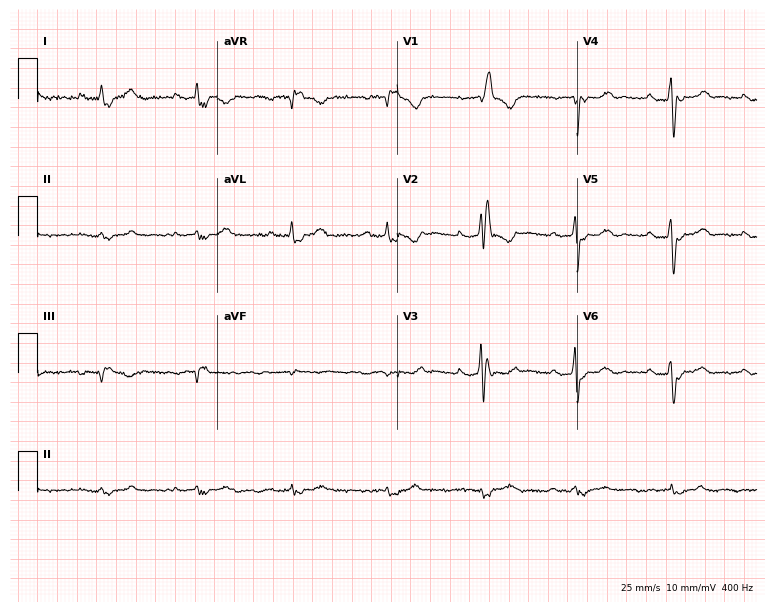
Standard 12-lead ECG recorded from a male patient, 67 years old. The tracing shows first-degree AV block, right bundle branch block.